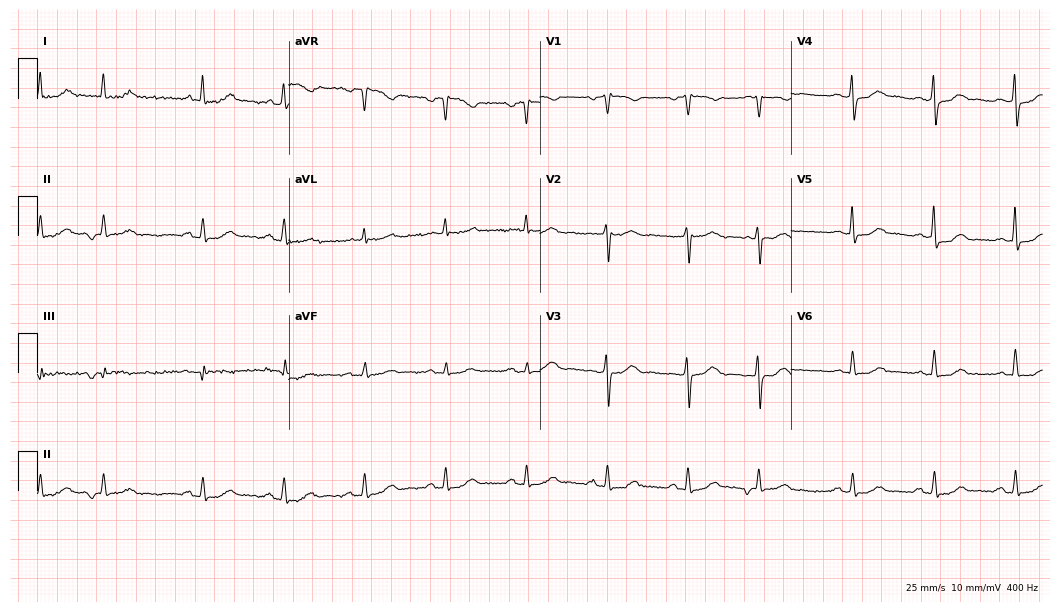
12-lead ECG from a 71-year-old woman. Recorded interpretation: within normal limits.